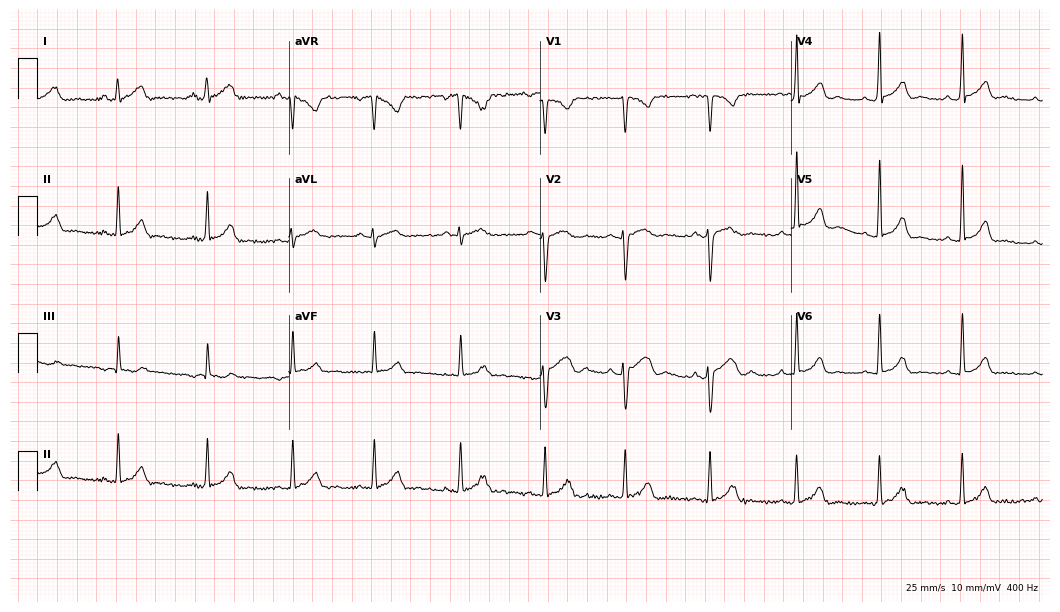
ECG — a 27-year-old woman. Labelled as a normal ECG.